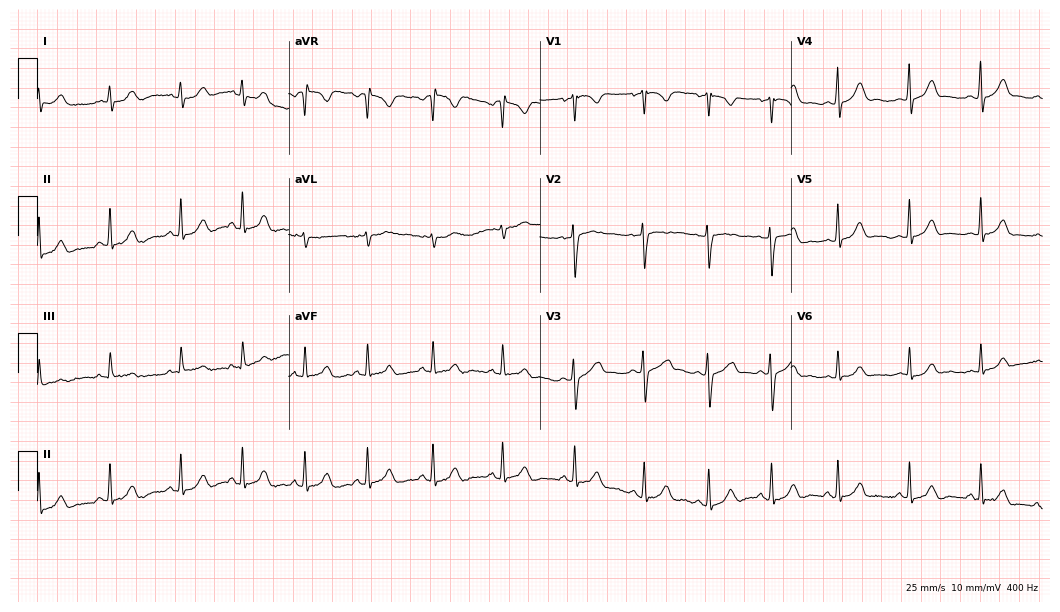
ECG (10.2-second recording at 400 Hz) — a 23-year-old woman. Screened for six findings — first-degree AV block, right bundle branch block, left bundle branch block, sinus bradycardia, atrial fibrillation, sinus tachycardia — none is recorded.